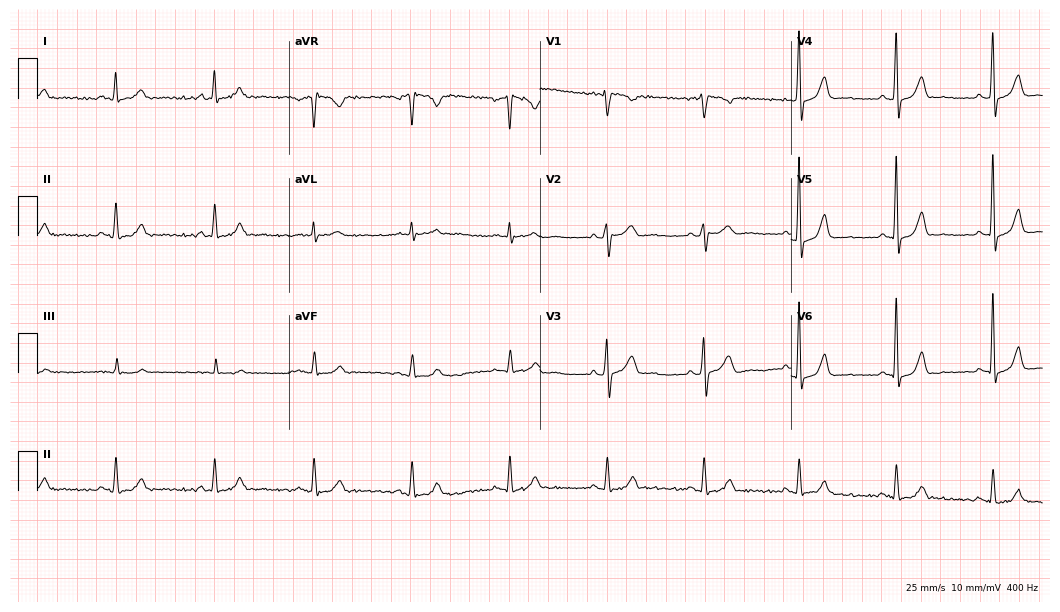
Standard 12-lead ECG recorded from a 42-year-old male (10.2-second recording at 400 Hz). None of these six findings is recorded: first-degree AV block, right bundle branch block (RBBB), left bundle branch block (LBBB), sinus bradycardia, atrial fibrillation (AF), sinus tachycardia.